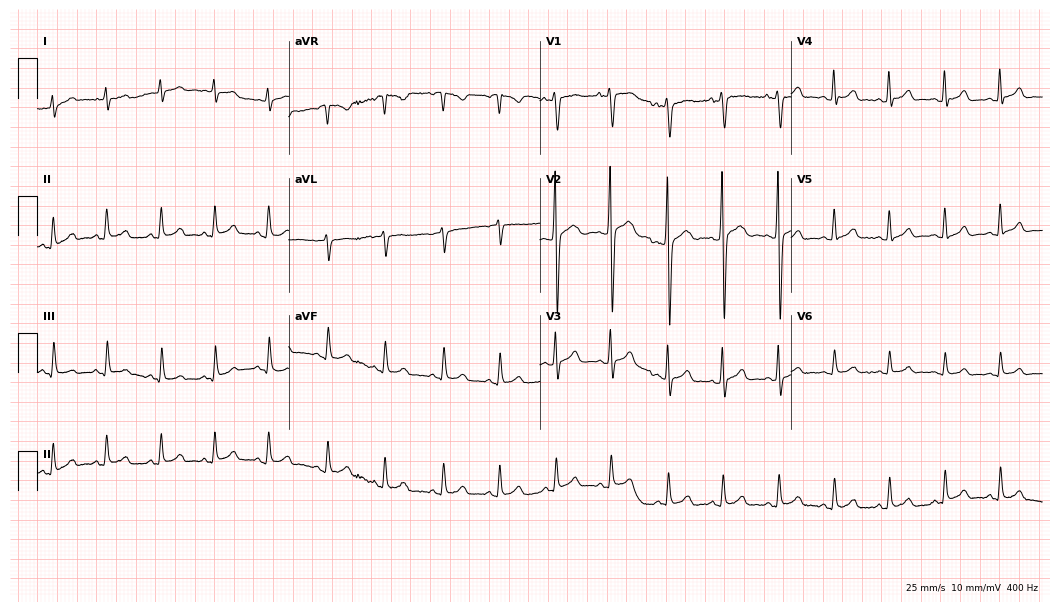
12-lead ECG from an 18-year-old male. Shows sinus tachycardia (a sinus rate of 100 beats per minute or more).